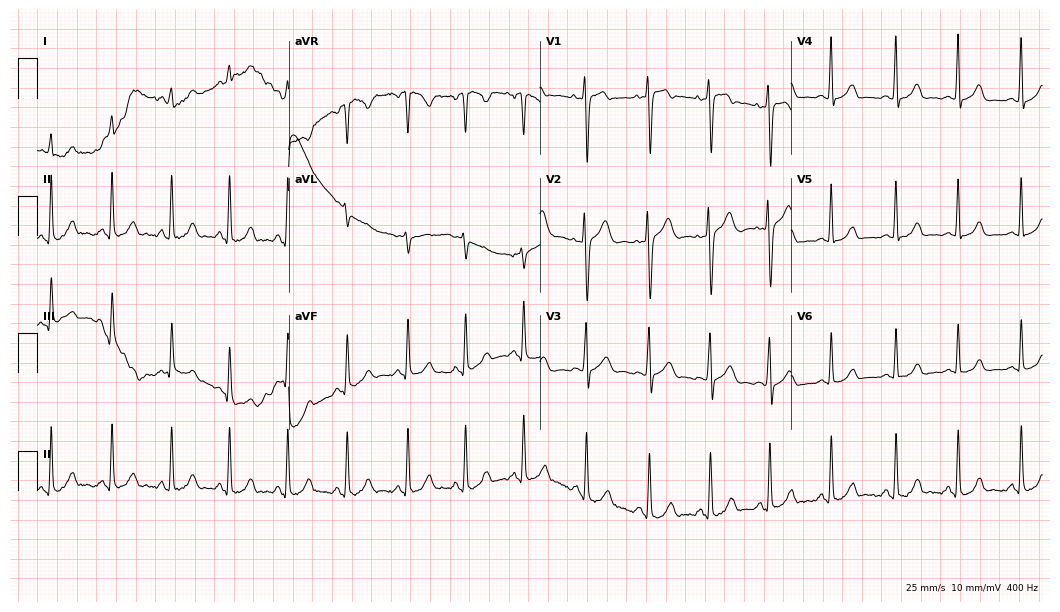
Electrocardiogram, a 35-year-old female. Of the six screened findings (first-degree AV block, right bundle branch block, left bundle branch block, sinus bradycardia, atrial fibrillation, sinus tachycardia), none is recorded. Other findings, if any, are not listed.